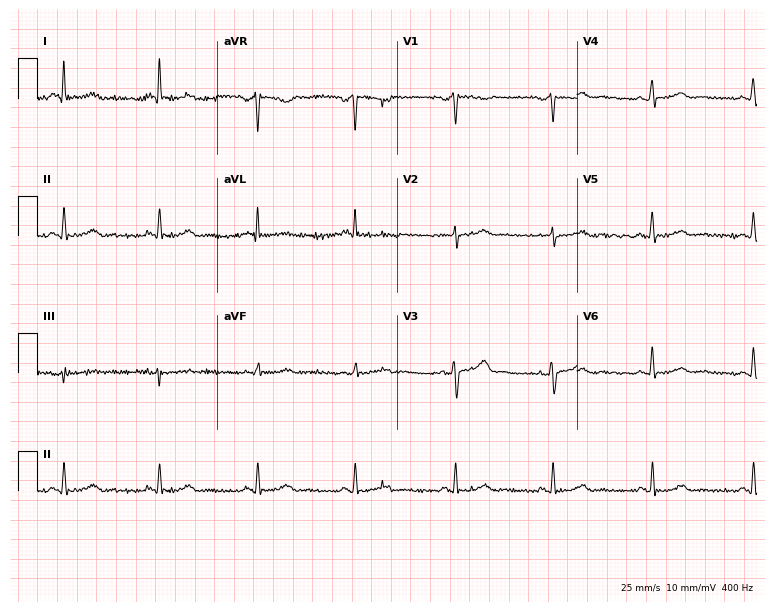
Electrocardiogram, a 57-year-old female patient. Overall reading on record: normal ECG.